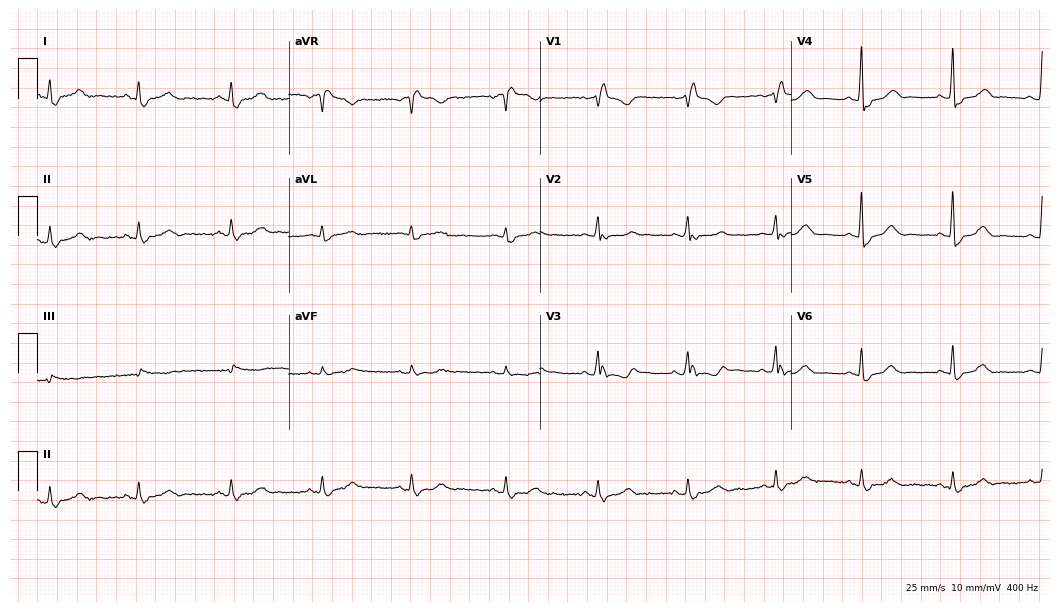
12-lead ECG (10.2-second recording at 400 Hz) from a female patient, 57 years old. Findings include right bundle branch block (RBBB).